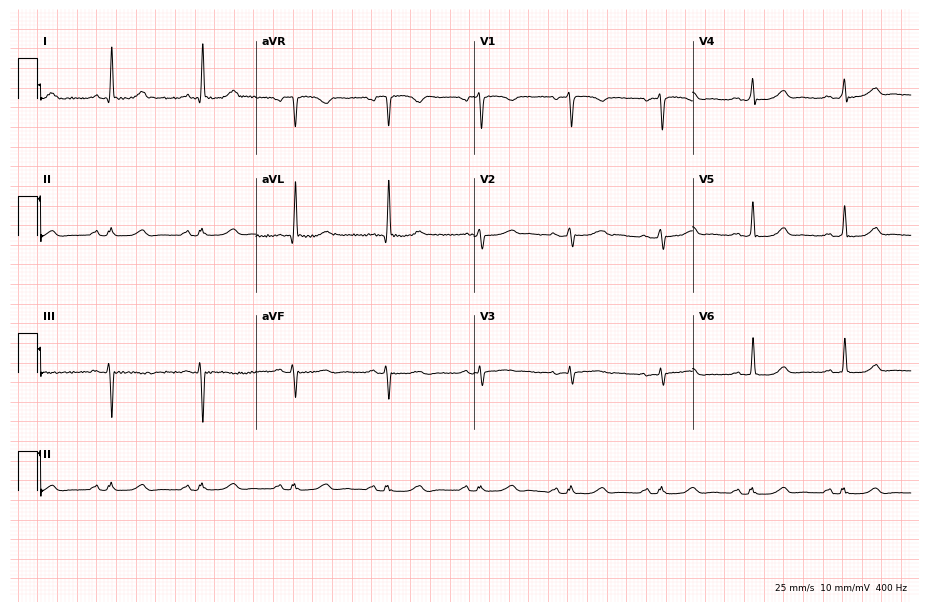
12-lead ECG from a female patient, 49 years old. Labelled as a normal ECG.